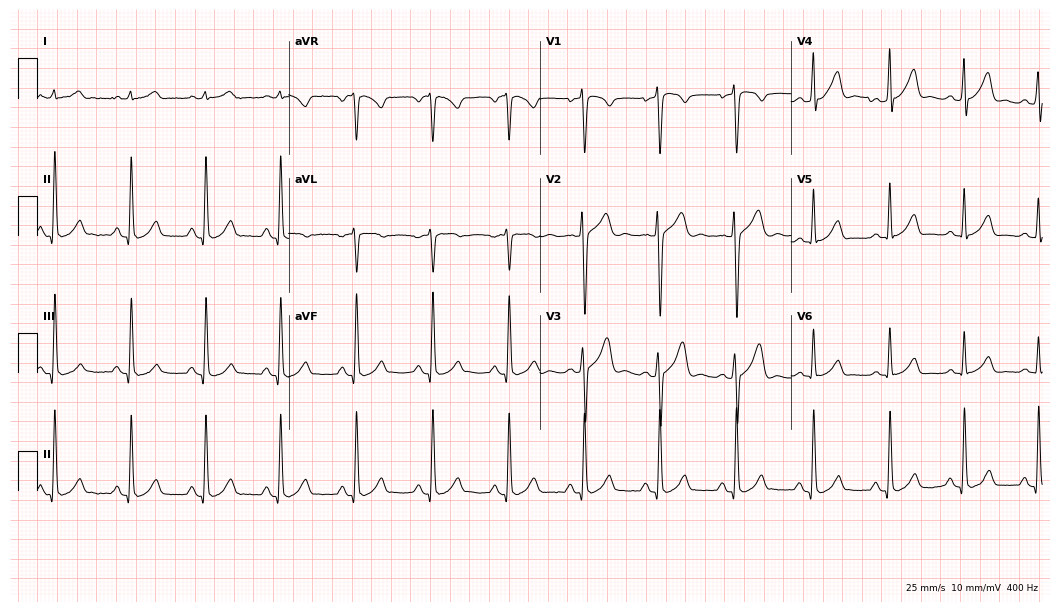
Standard 12-lead ECG recorded from a 30-year-old man (10.2-second recording at 400 Hz). Read as a normal ECG.